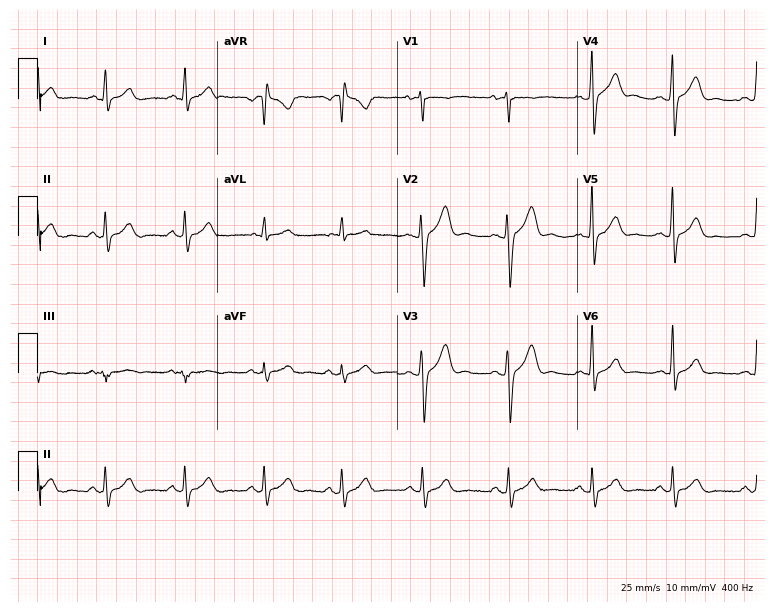
12-lead ECG (7.3-second recording at 400 Hz) from a 34-year-old male patient. Labelled as a normal ECG.